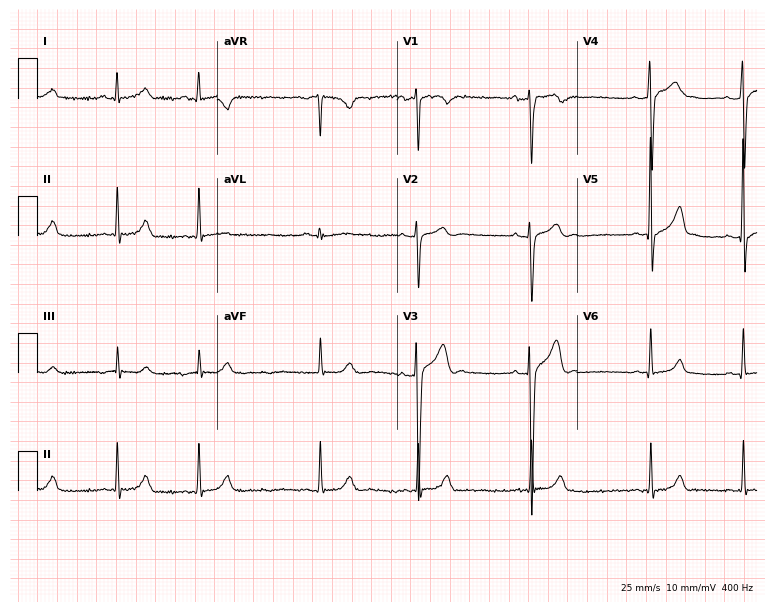
ECG (7.3-second recording at 400 Hz) — a male patient, 17 years old. Screened for six findings — first-degree AV block, right bundle branch block, left bundle branch block, sinus bradycardia, atrial fibrillation, sinus tachycardia — none is recorded. Only these six findings were labelled.